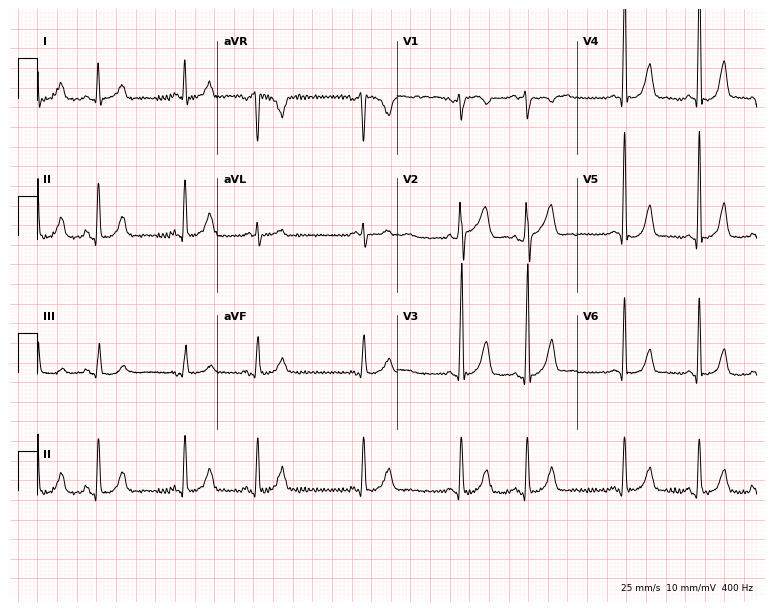
12-lead ECG from a female patient, 60 years old. Recorded interpretation: within normal limits.